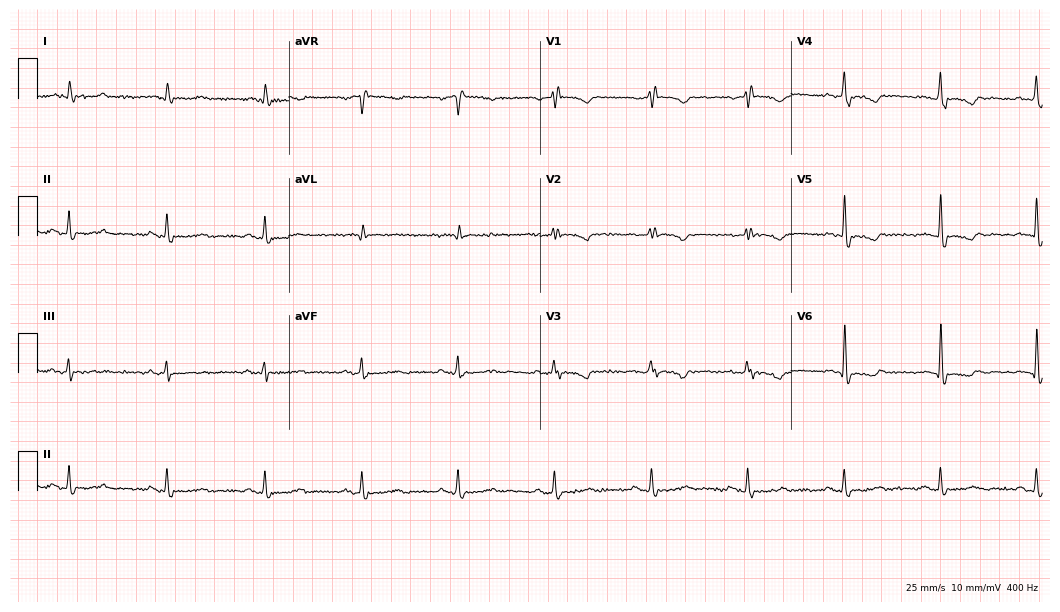
ECG (10.2-second recording at 400 Hz) — an 84-year-old male patient. Screened for six findings — first-degree AV block, right bundle branch block, left bundle branch block, sinus bradycardia, atrial fibrillation, sinus tachycardia — none is recorded. Findings outside these six are not listed.